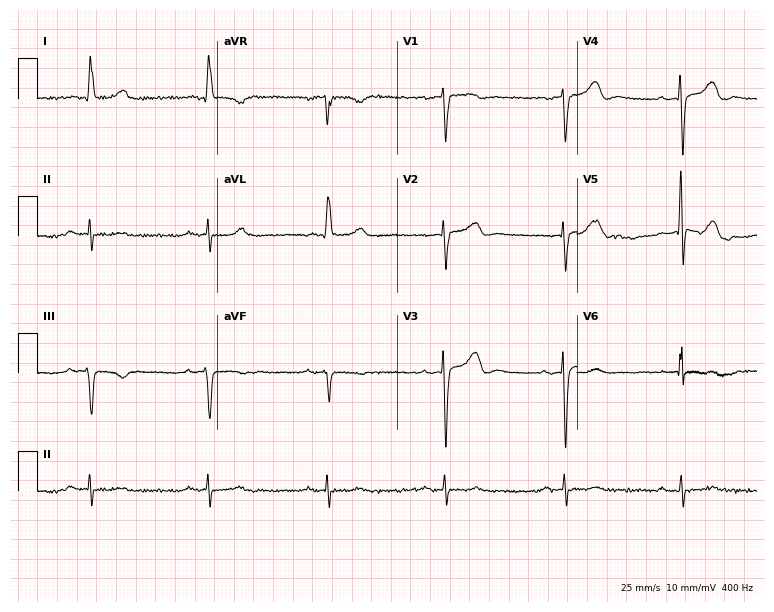
Resting 12-lead electrocardiogram (7.3-second recording at 400 Hz). Patient: a man, 82 years old. The tracing shows sinus bradycardia (a sinus rate of 50 beats per minute or less).